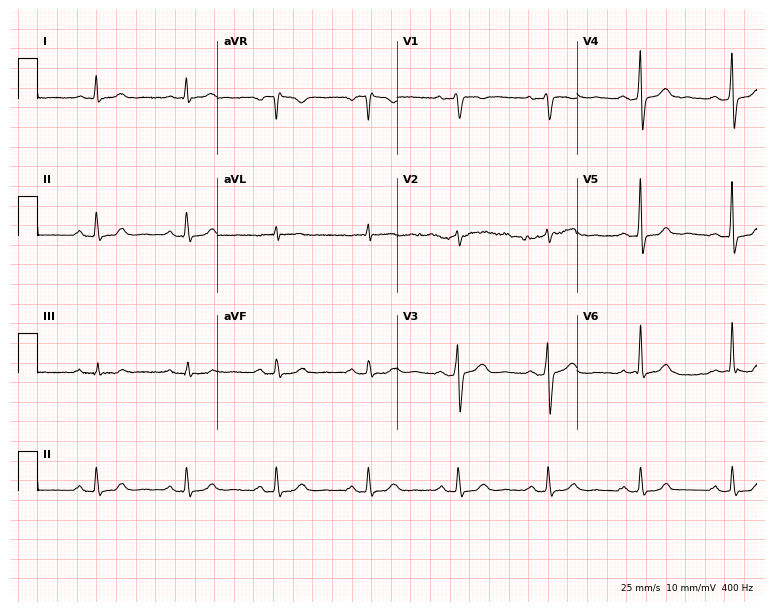
Resting 12-lead electrocardiogram. Patient: a 50-year-old male. Read as a normal ECG.